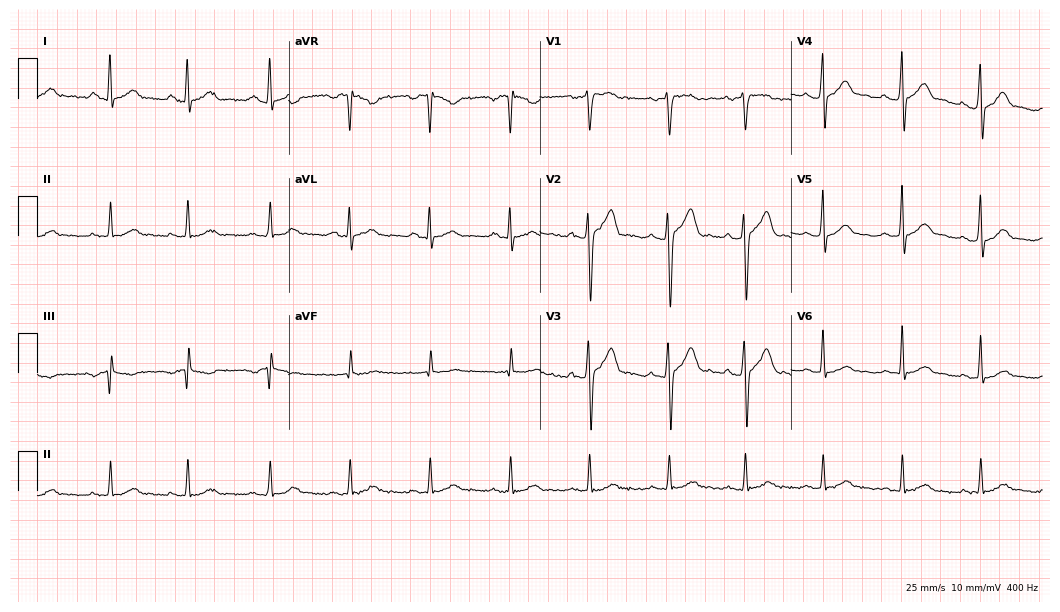
12-lead ECG (10.2-second recording at 400 Hz) from a 36-year-old man. Labelled as a normal ECG.